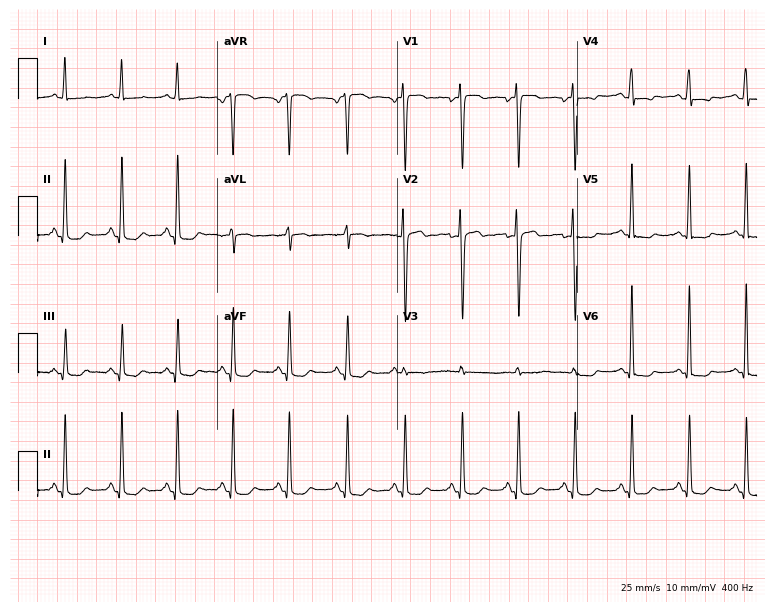
Resting 12-lead electrocardiogram (7.3-second recording at 400 Hz). Patient: a 34-year-old female. The tracing shows sinus tachycardia (a sinus rate of 100 beats per minute or more).